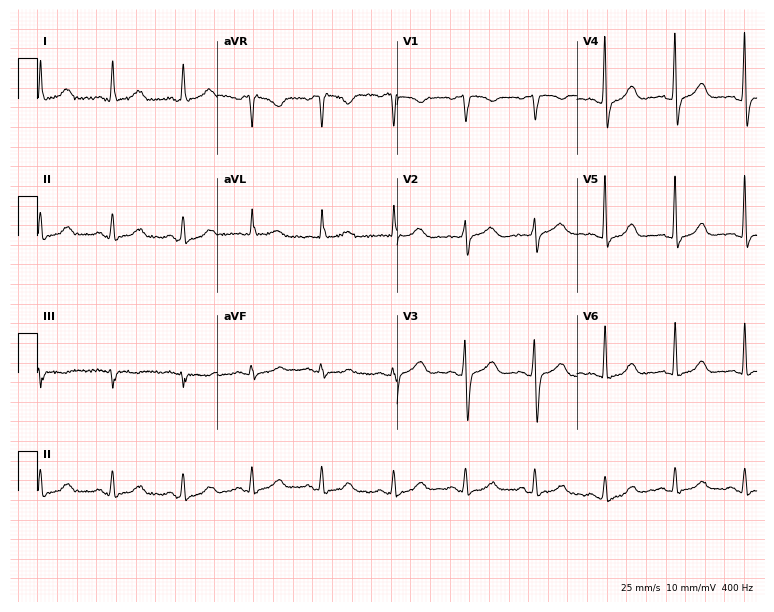
ECG (7.3-second recording at 400 Hz) — a female patient, 64 years old. Labelled as a normal ECG.